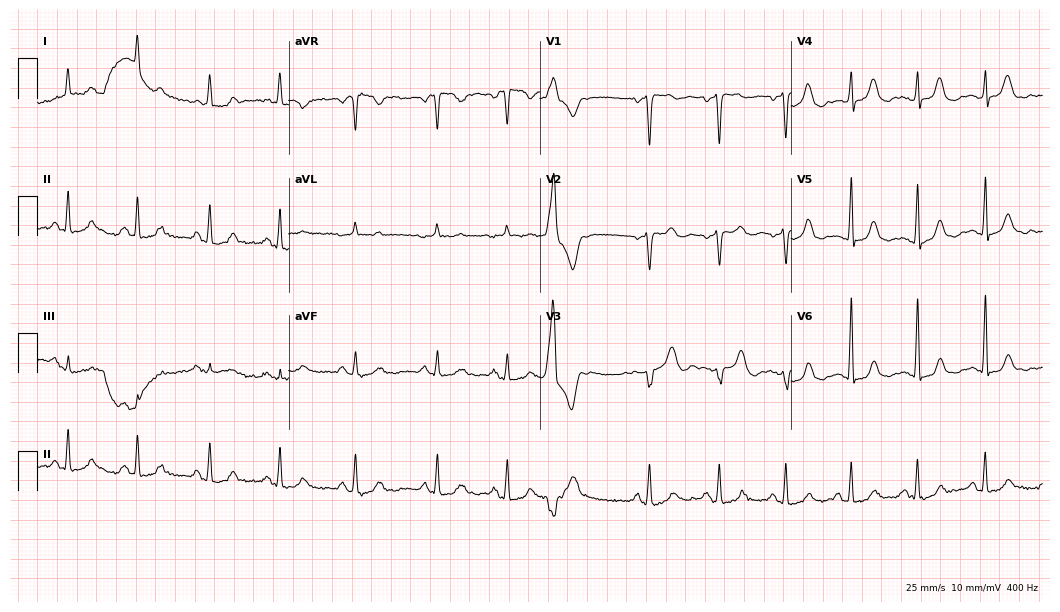
Electrocardiogram (10.2-second recording at 400 Hz), a 43-year-old female patient. Of the six screened findings (first-degree AV block, right bundle branch block (RBBB), left bundle branch block (LBBB), sinus bradycardia, atrial fibrillation (AF), sinus tachycardia), none is recorded.